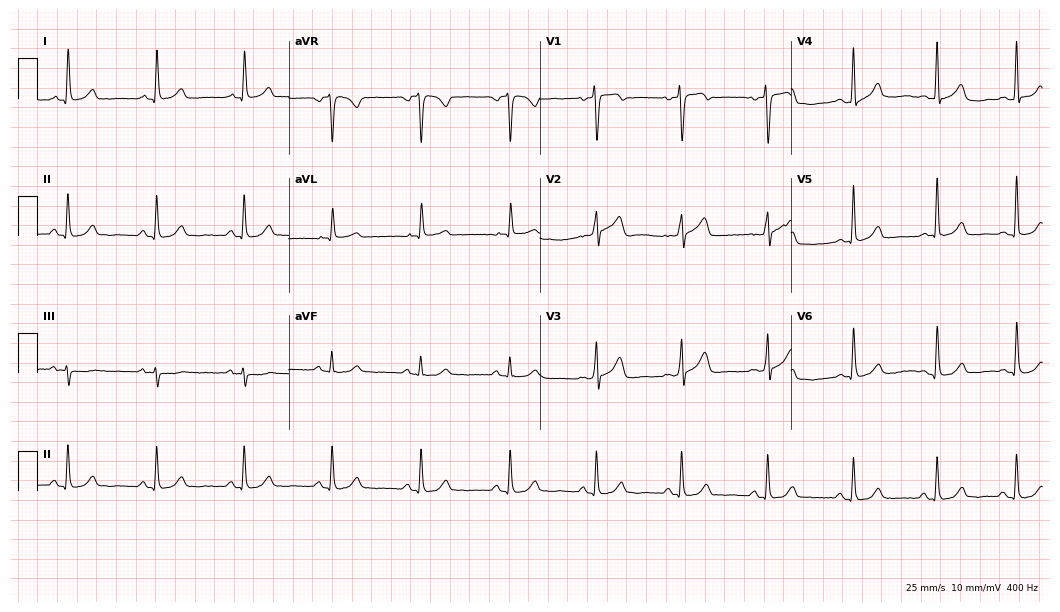
12-lead ECG from a 62-year-old woman (10.2-second recording at 400 Hz). Recorded interpretation: within normal limits.